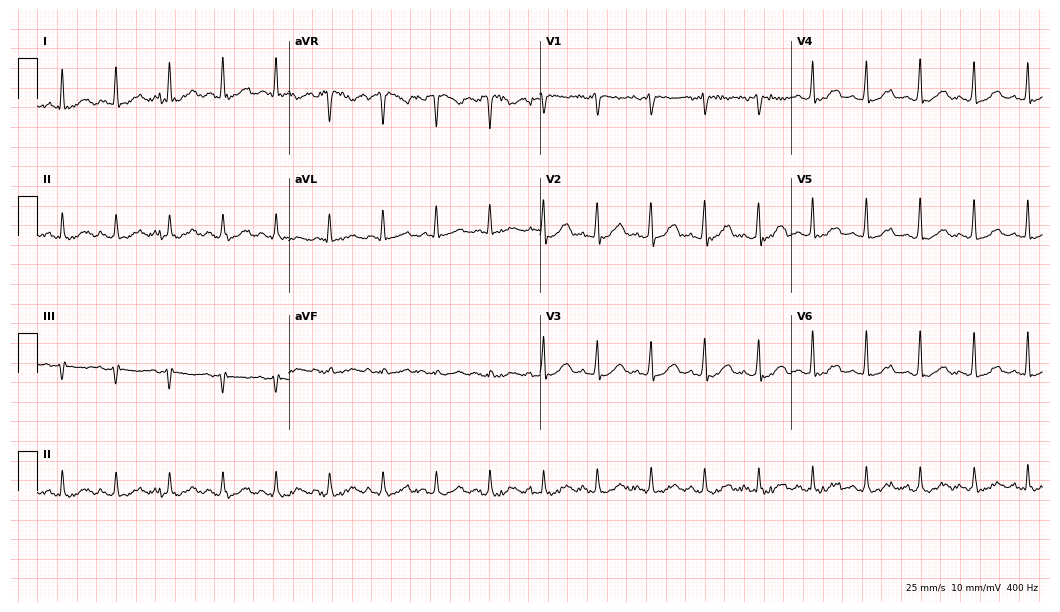
Resting 12-lead electrocardiogram. Patient: a female, 44 years old. The tracing shows sinus tachycardia (a sinus rate of 100 beats per minute or more).